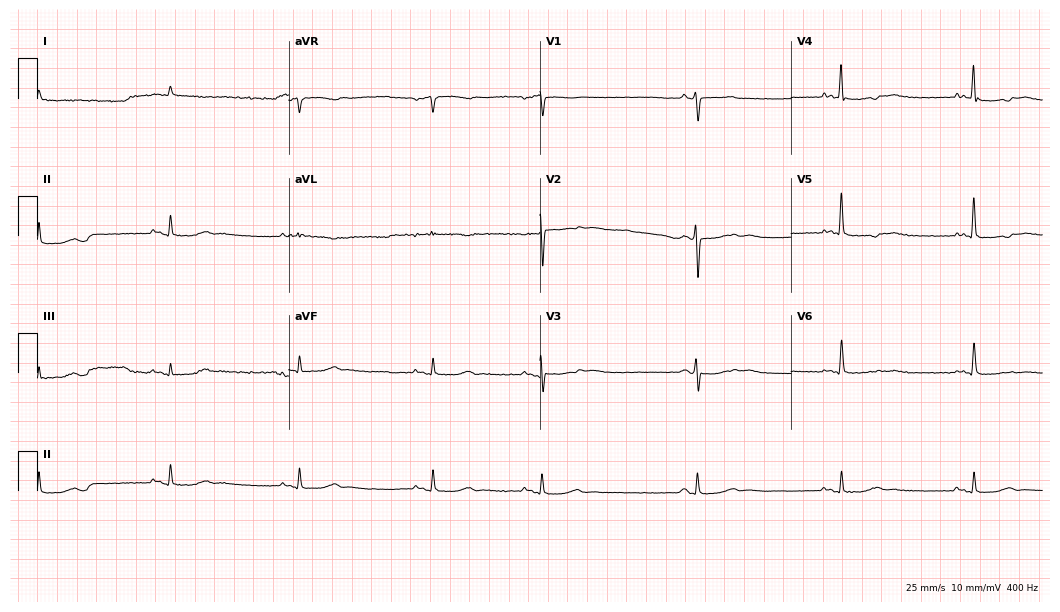
12-lead ECG (10.2-second recording at 400 Hz) from a male, 81 years old. Findings include sinus bradycardia (a sinus rate of 50 beats per minute or less).